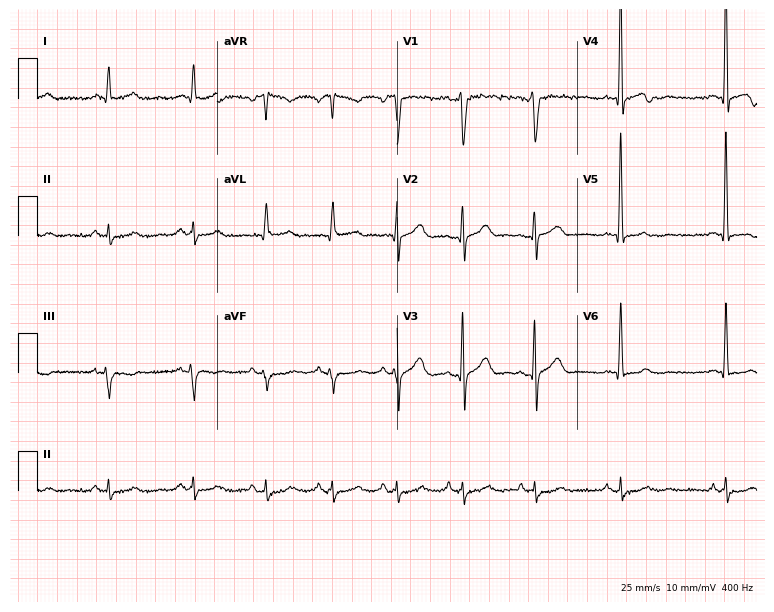
12-lead ECG from a male patient, 41 years old (7.3-second recording at 400 Hz). No first-degree AV block, right bundle branch block, left bundle branch block, sinus bradycardia, atrial fibrillation or sinus tachycardia recorded for this tracing. Findings outside these six are not listed.